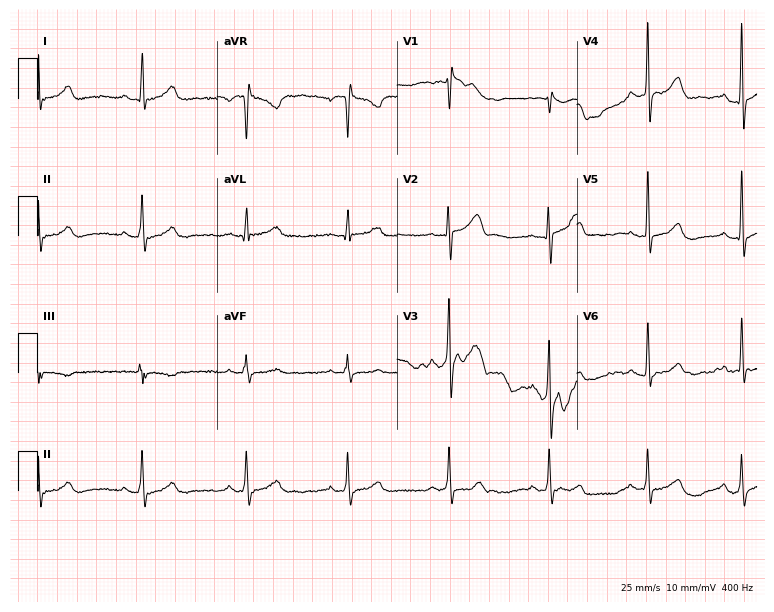
12-lead ECG from a male, 33 years old (7.3-second recording at 400 Hz). Recorded interpretation: within normal limits.